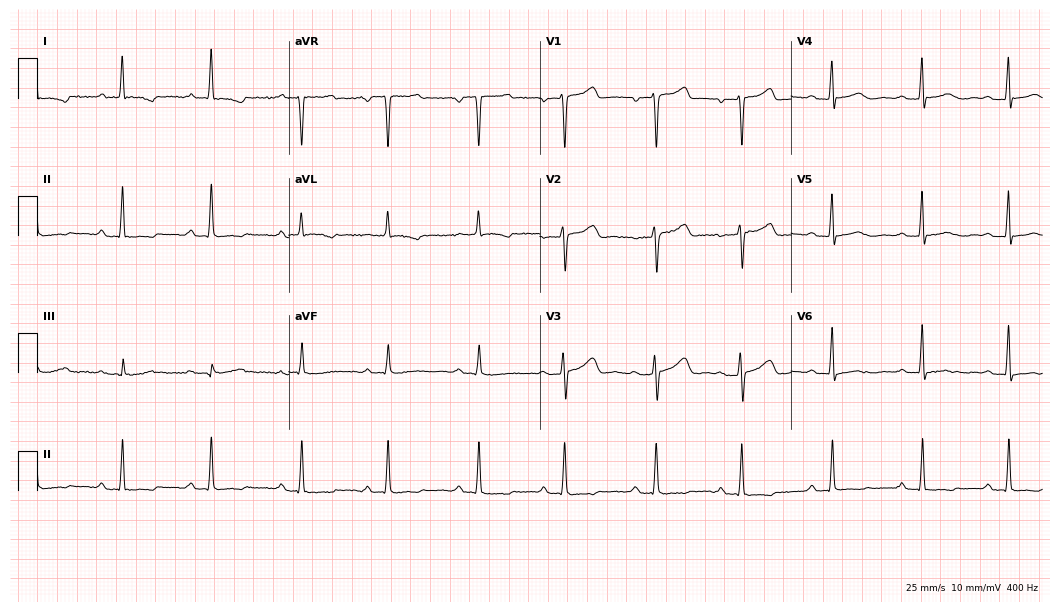
Resting 12-lead electrocardiogram (10.2-second recording at 400 Hz). Patient: a 47-year-old woman. The tracing shows first-degree AV block.